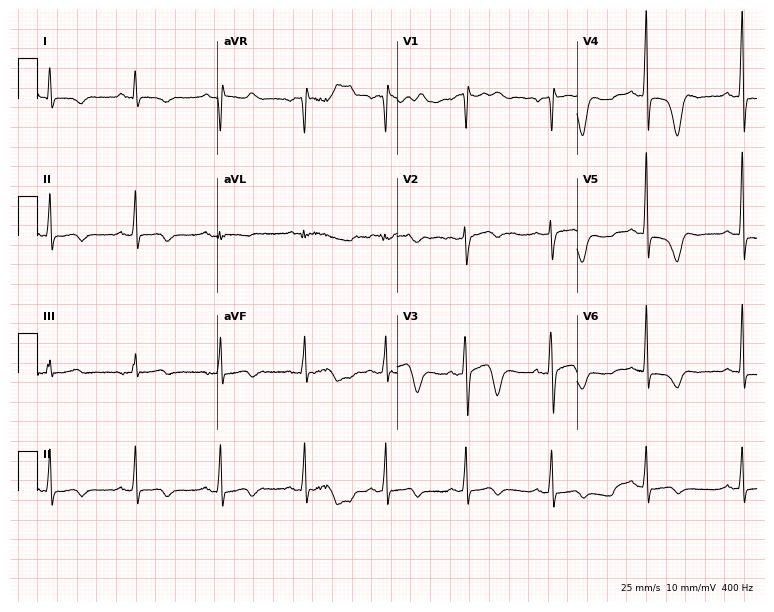
Resting 12-lead electrocardiogram. Patient: a 51-year-old male. None of these six findings is recorded: first-degree AV block, right bundle branch block, left bundle branch block, sinus bradycardia, atrial fibrillation, sinus tachycardia.